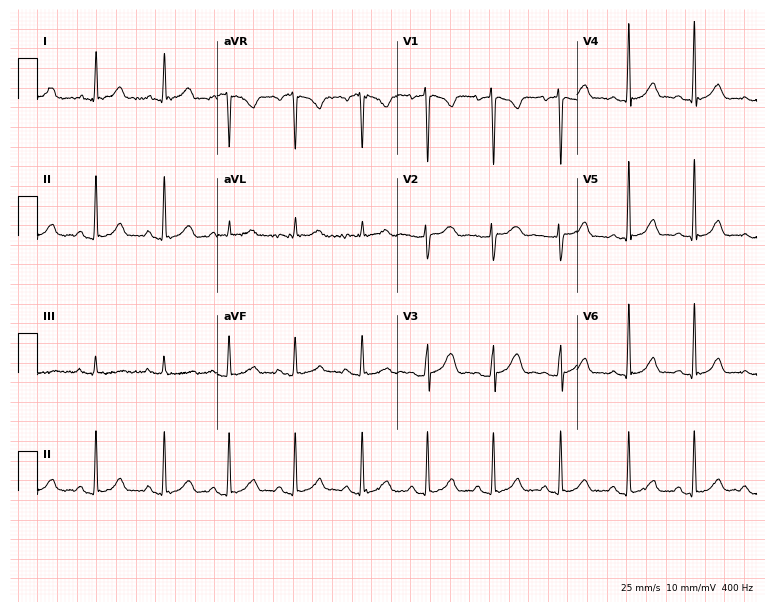
Standard 12-lead ECG recorded from a female patient, 24 years old. Read as a normal ECG.